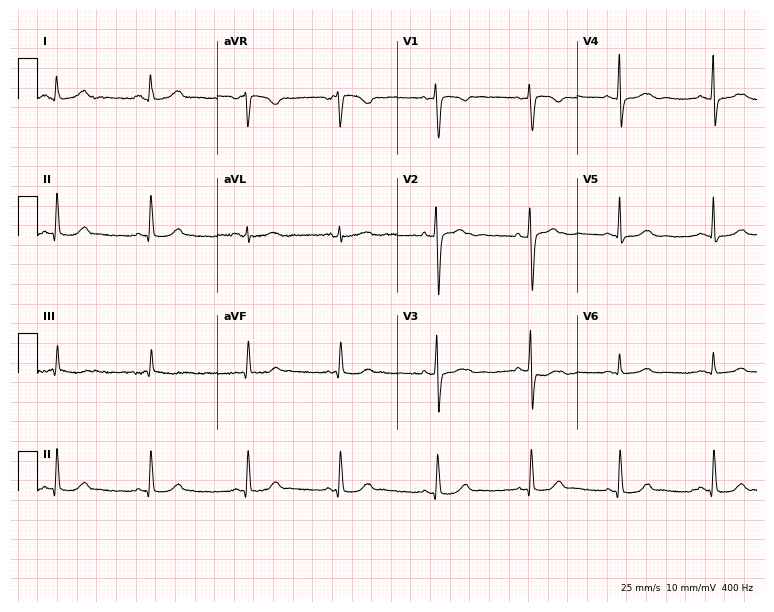
ECG — a woman, 29 years old. Screened for six findings — first-degree AV block, right bundle branch block, left bundle branch block, sinus bradycardia, atrial fibrillation, sinus tachycardia — none is recorded.